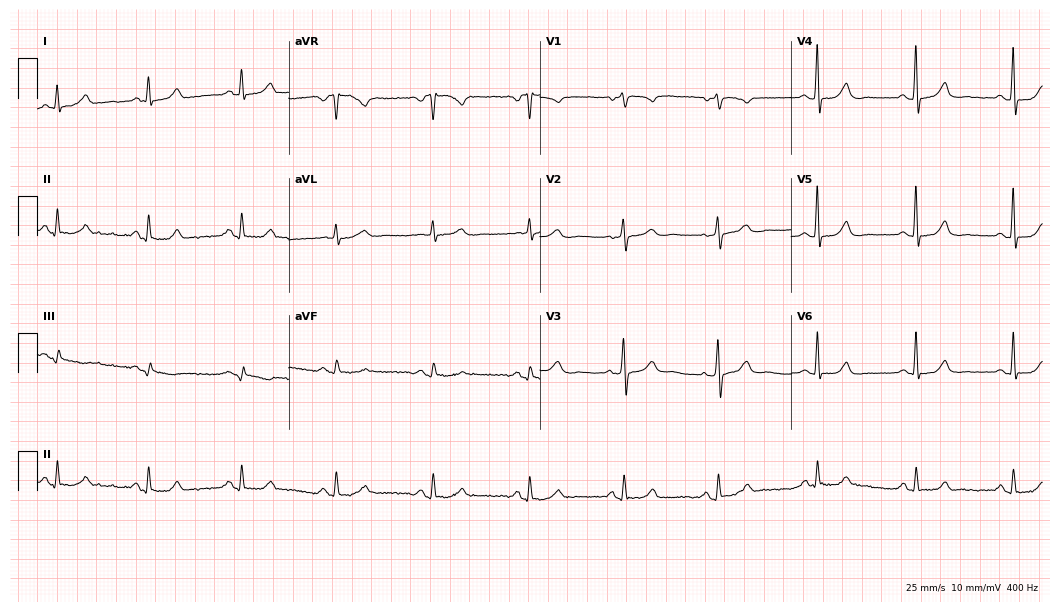
12-lead ECG from a 62-year-old female. No first-degree AV block, right bundle branch block, left bundle branch block, sinus bradycardia, atrial fibrillation or sinus tachycardia recorded for this tracing.